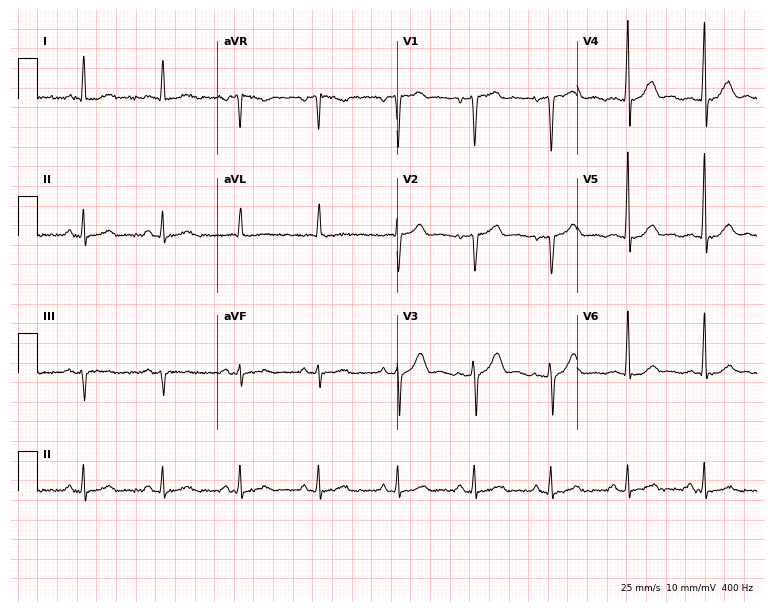
12-lead ECG from a 48-year-old male patient (7.3-second recording at 400 Hz). Recorded interpretation: within normal limits.